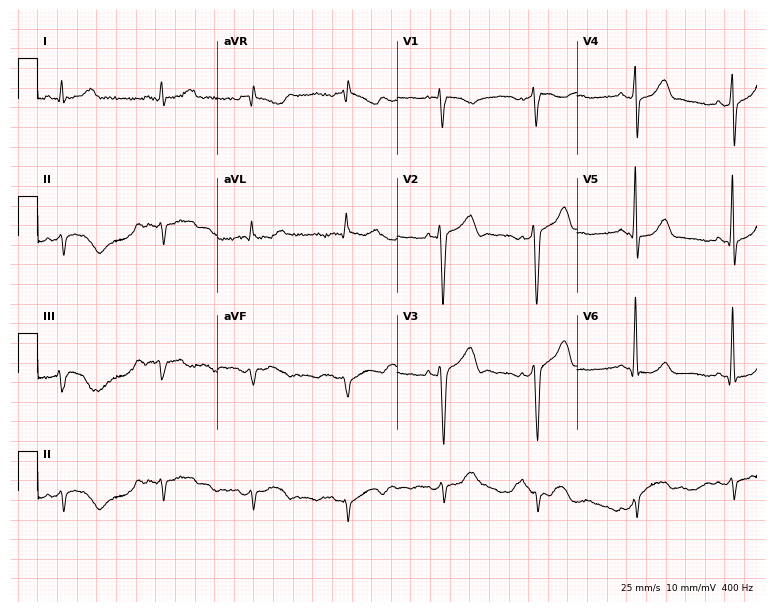
12-lead ECG (7.3-second recording at 400 Hz) from a 24-year-old male. Screened for six findings — first-degree AV block, right bundle branch block, left bundle branch block, sinus bradycardia, atrial fibrillation, sinus tachycardia — none is recorded.